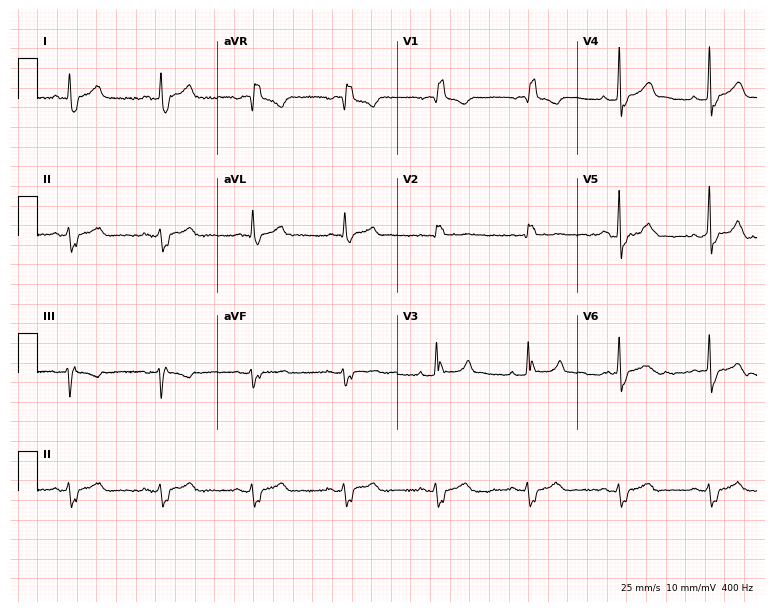
12-lead ECG from a male patient, 70 years old. Shows right bundle branch block.